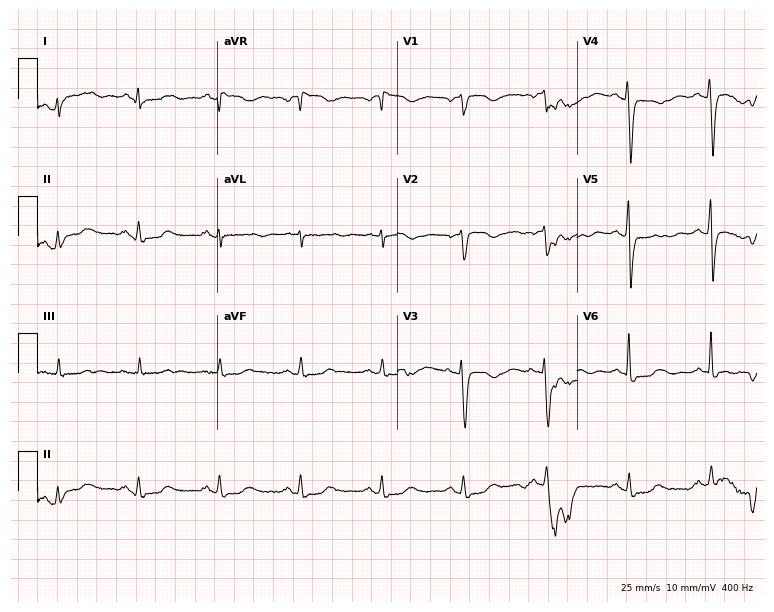
Standard 12-lead ECG recorded from a 50-year-old woman (7.3-second recording at 400 Hz). None of these six findings is recorded: first-degree AV block, right bundle branch block (RBBB), left bundle branch block (LBBB), sinus bradycardia, atrial fibrillation (AF), sinus tachycardia.